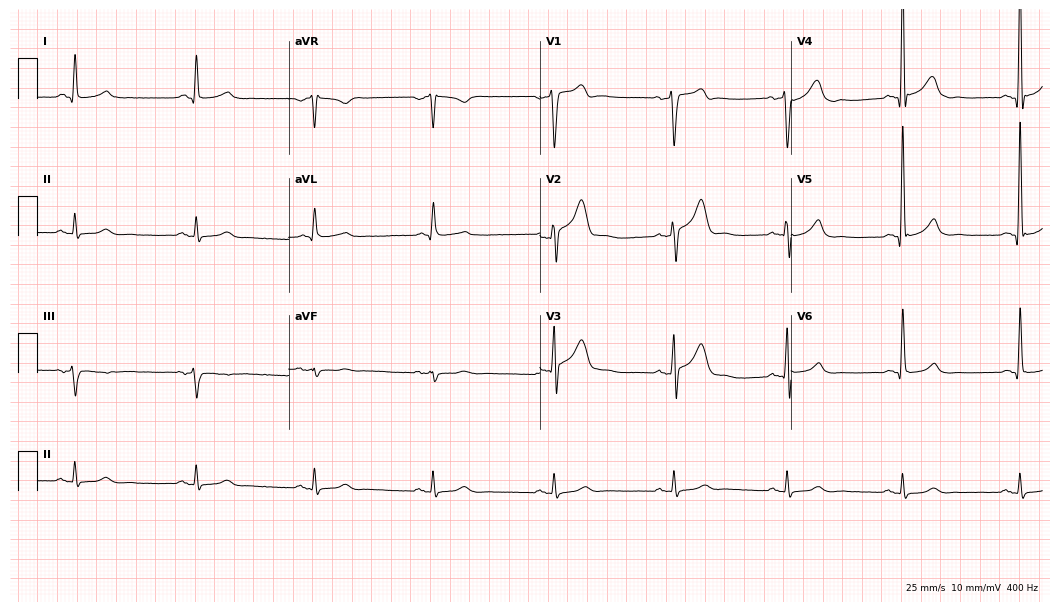
ECG — a man, 51 years old. Labelled as a normal ECG.